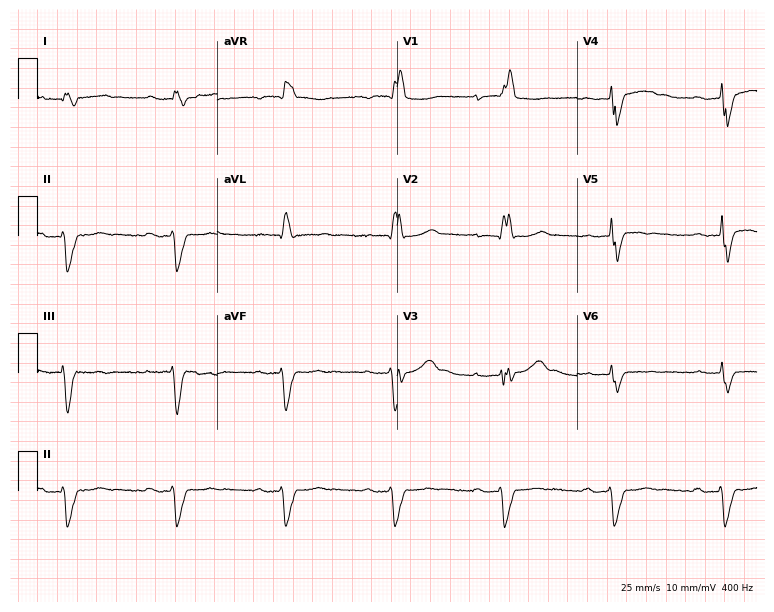
12-lead ECG (7.3-second recording at 400 Hz) from a 54-year-old man. Findings include first-degree AV block, right bundle branch block (RBBB).